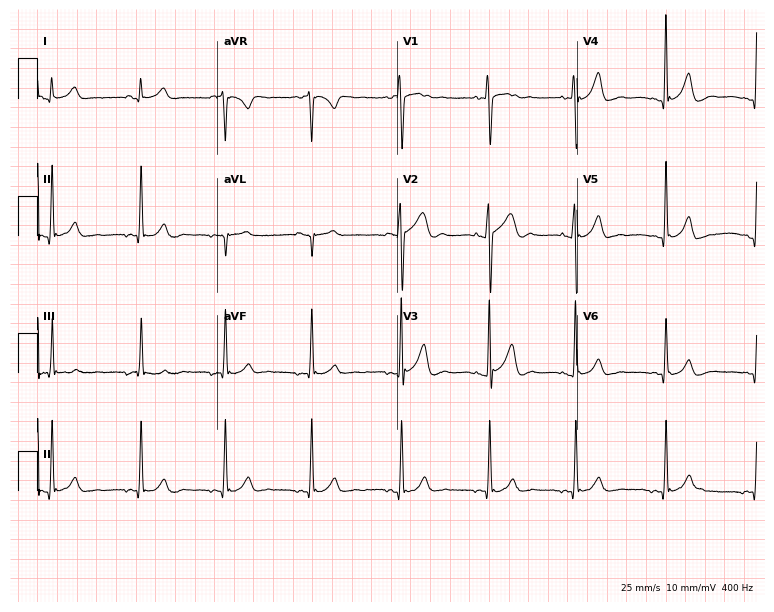
12-lead ECG (7.3-second recording at 400 Hz) from a male, 17 years old. Labelled as a normal ECG.